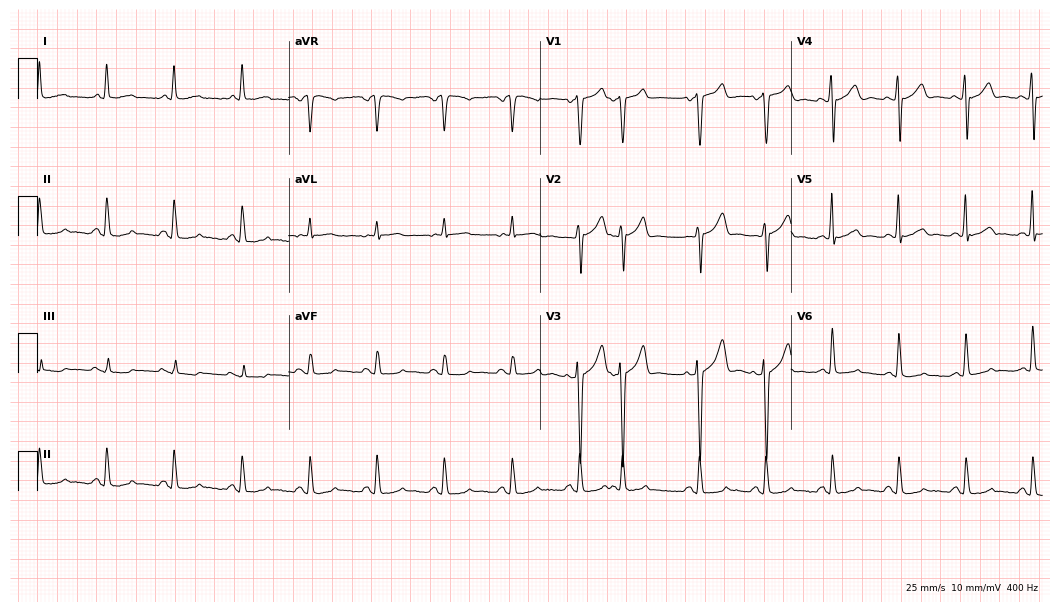
12-lead ECG from a 51-year-old male. No first-degree AV block, right bundle branch block, left bundle branch block, sinus bradycardia, atrial fibrillation or sinus tachycardia recorded for this tracing. Findings outside these six are not listed.